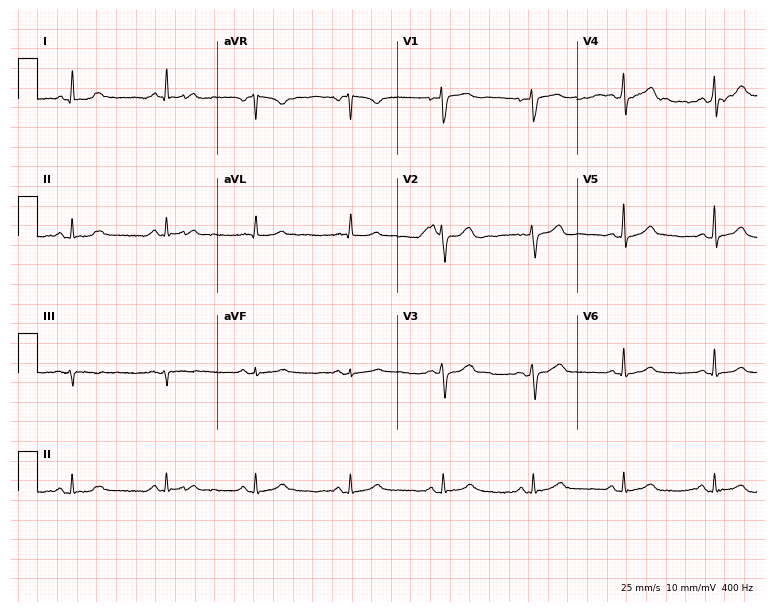
Resting 12-lead electrocardiogram (7.3-second recording at 400 Hz). Patient: a 44-year-old female. Read as a normal ECG.